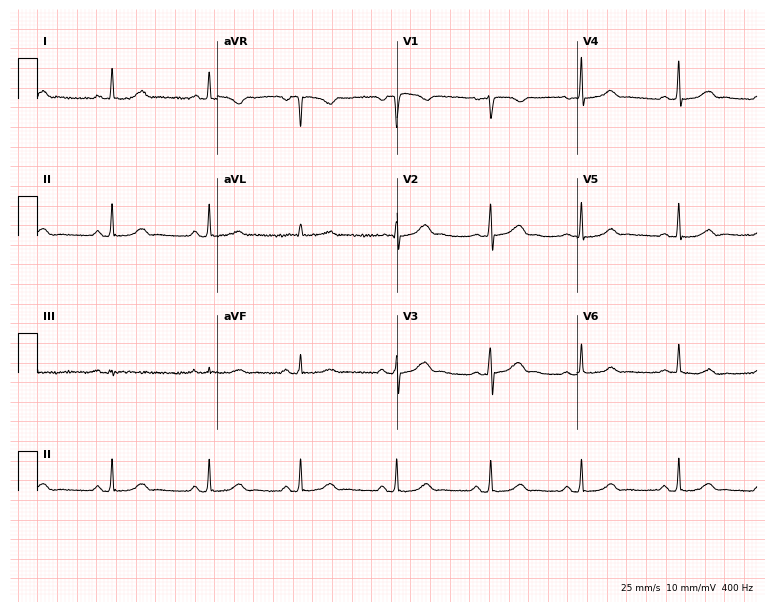
ECG (7.3-second recording at 400 Hz) — a woman, 48 years old. Screened for six findings — first-degree AV block, right bundle branch block, left bundle branch block, sinus bradycardia, atrial fibrillation, sinus tachycardia — none is recorded.